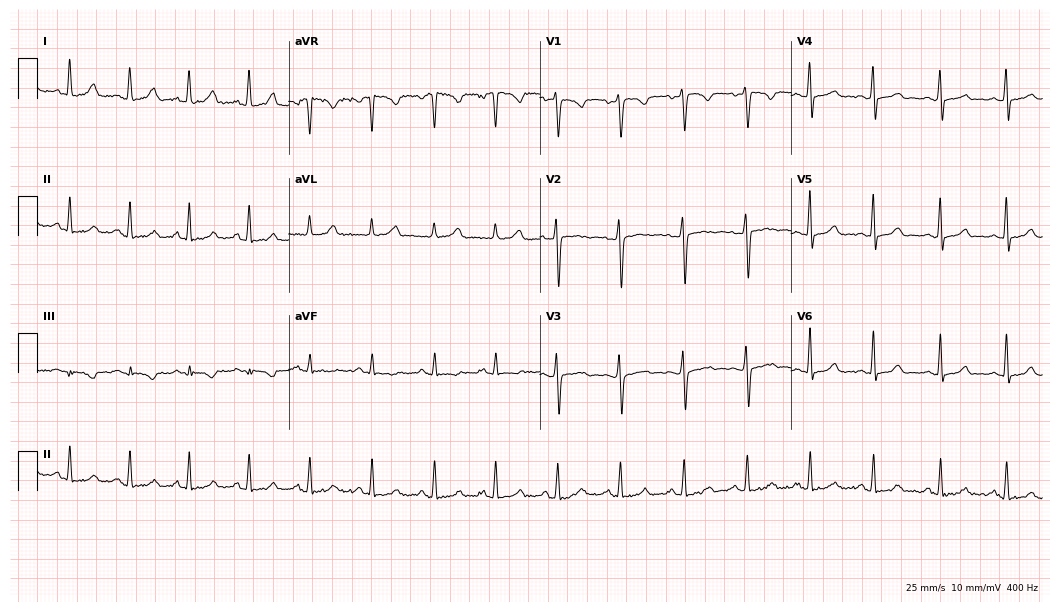
12-lead ECG (10.2-second recording at 400 Hz) from a woman, 30 years old. Labelled as a normal ECG.